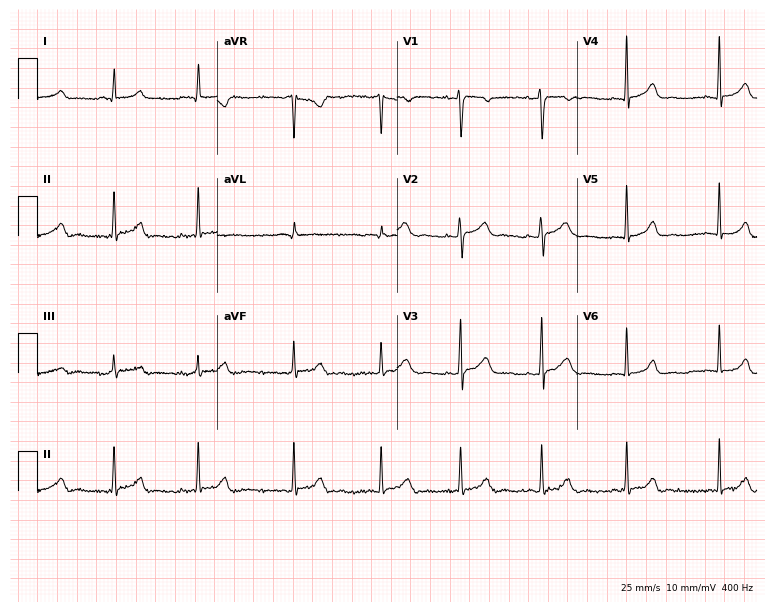
ECG (7.3-second recording at 400 Hz) — a 17-year-old female patient. Screened for six findings — first-degree AV block, right bundle branch block (RBBB), left bundle branch block (LBBB), sinus bradycardia, atrial fibrillation (AF), sinus tachycardia — none is recorded.